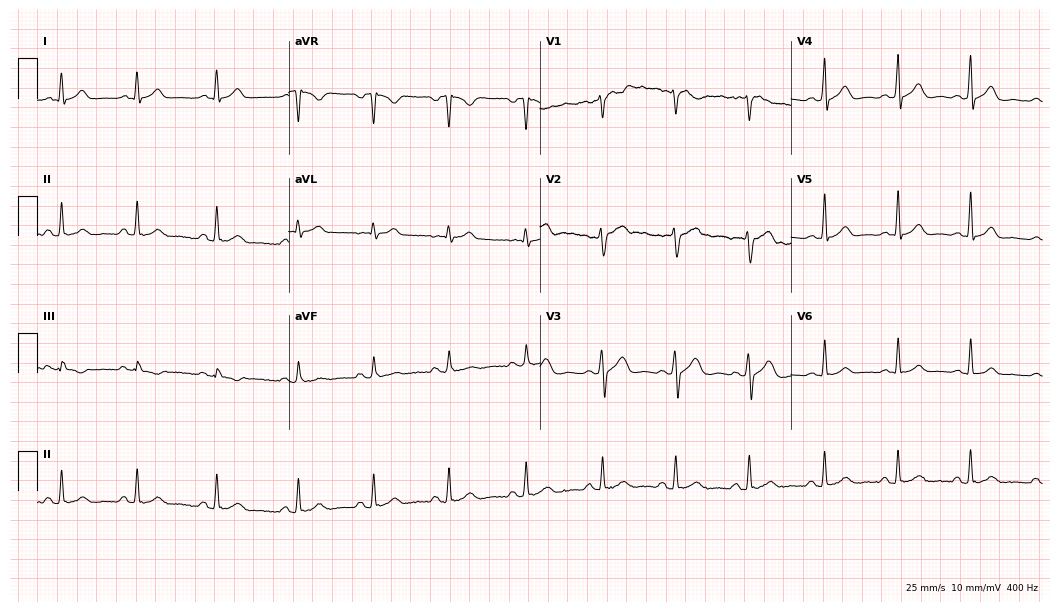
Standard 12-lead ECG recorded from a 22-year-old male. Read as a normal ECG.